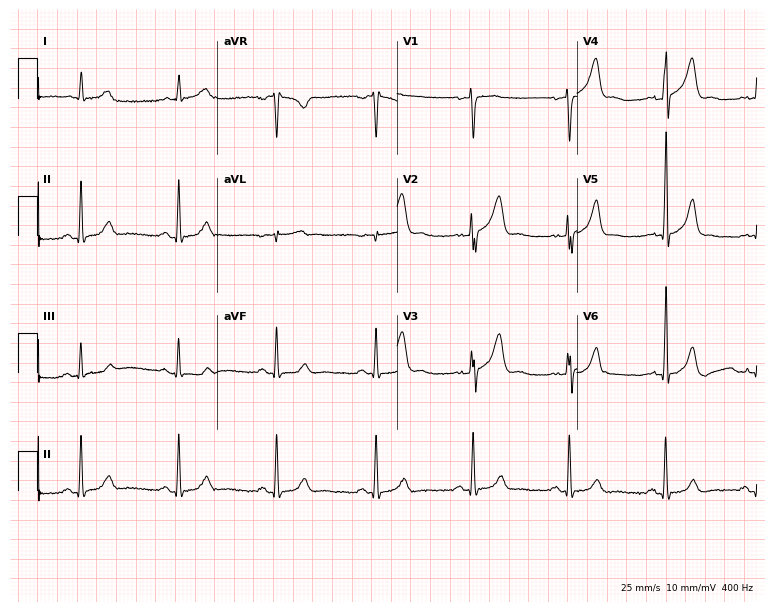
ECG — a female, 51 years old. Labelled as a normal ECG.